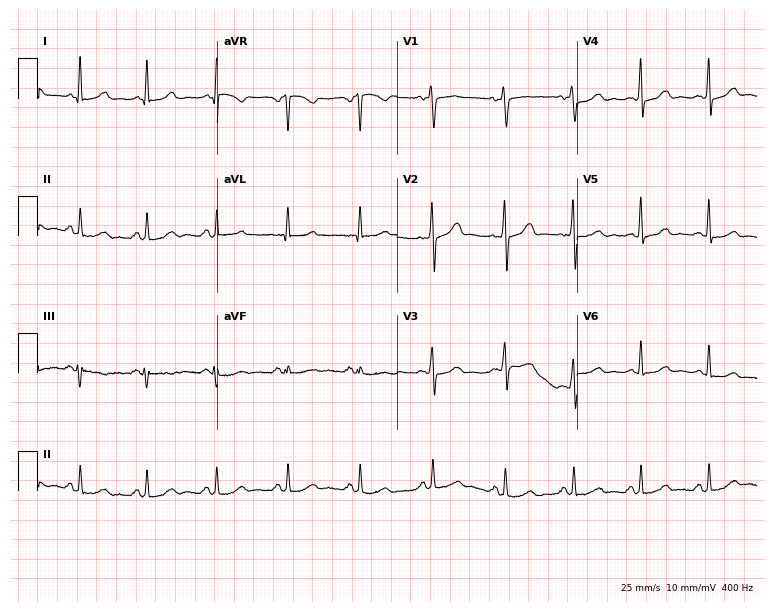
12-lead ECG (7.3-second recording at 400 Hz) from a 49-year-old woman. Labelled as a normal ECG.